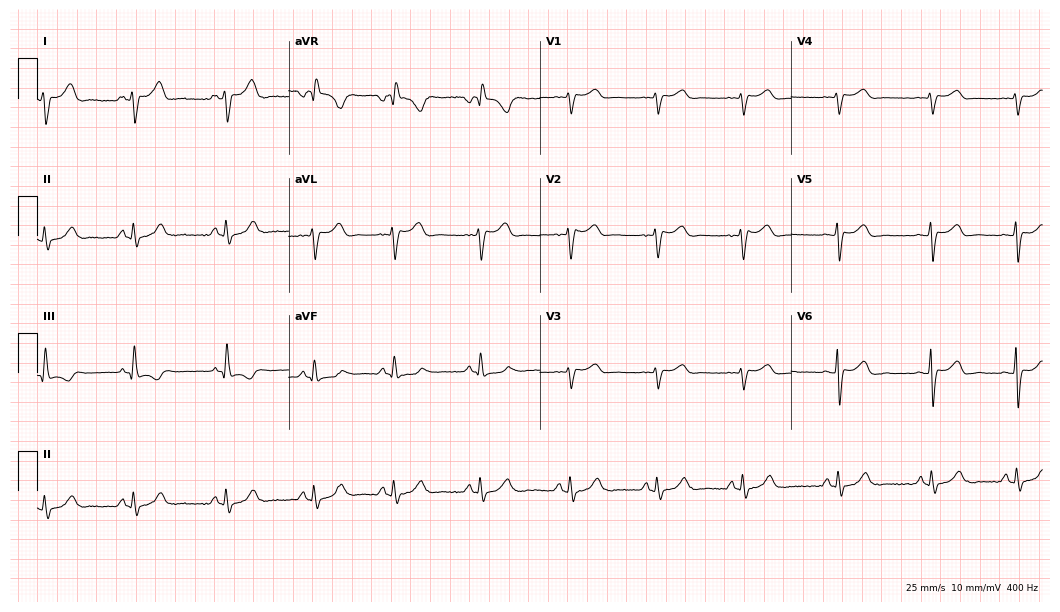
ECG (10.2-second recording at 400 Hz) — a 45-year-old male. Screened for six findings — first-degree AV block, right bundle branch block, left bundle branch block, sinus bradycardia, atrial fibrillation, sinus tachycardia — none is recorded. Findings outside these six are not listed.